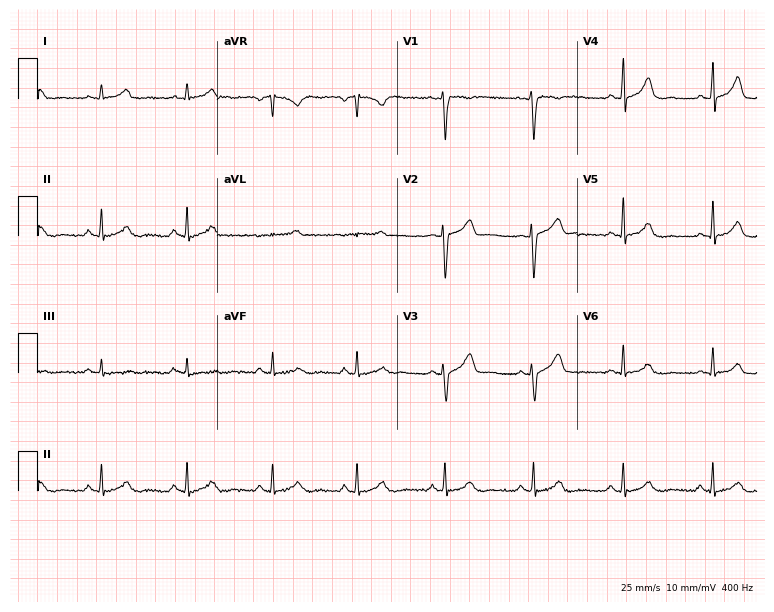
12-lead ECG (7.3-second recording at 400 Hz) from a woman, 27 years old. Labelled as a normal ECG.